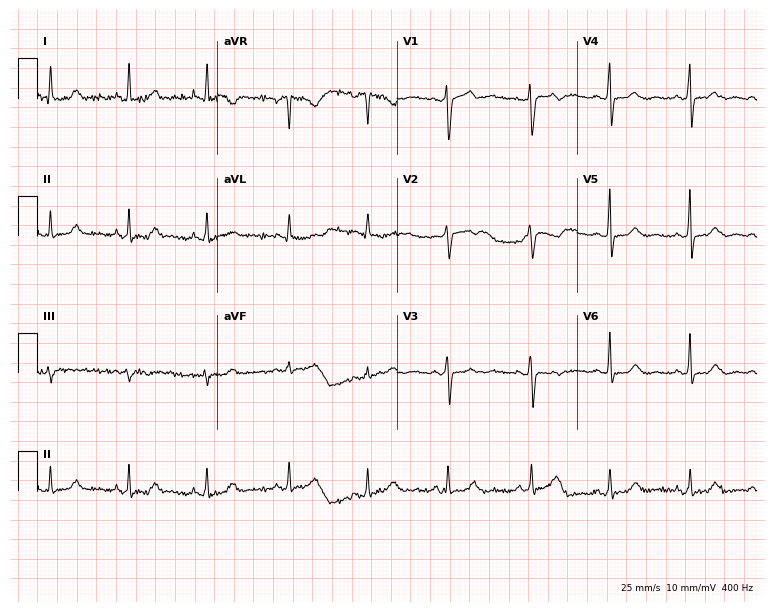
ECG — a 43-year-old female. Screened for six findings — first-degree AV block, right bundle branch block, left bundle branch block, sinus bradycardia, atrial fibrillation, sinus tachycardia — none is recorded.